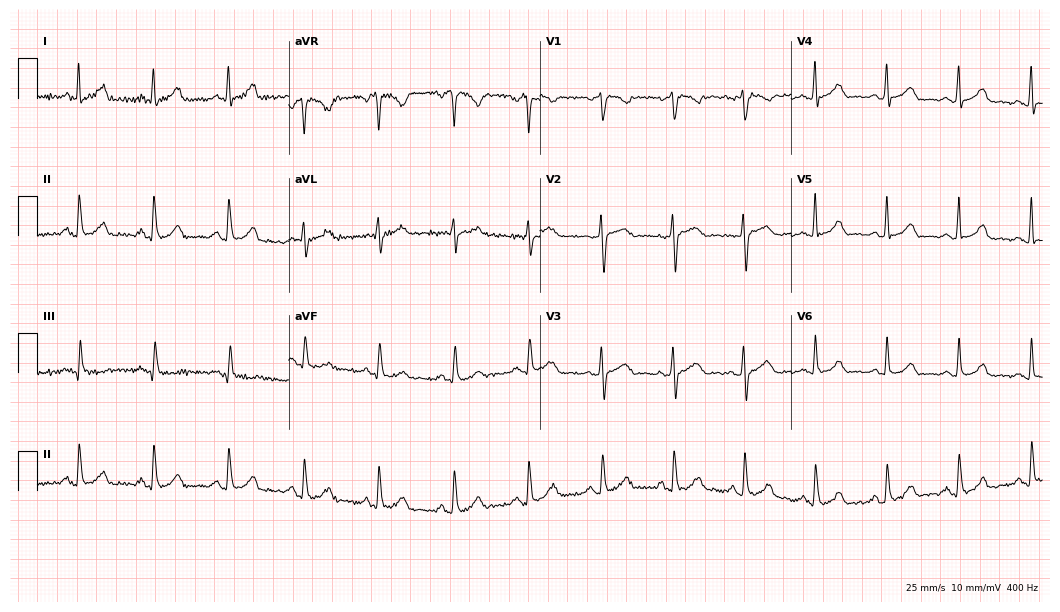
Standard 12-lead ECG recorded from a 36-year-old female (10.2-second recording at 400 Hz). Read as a normal ECG.